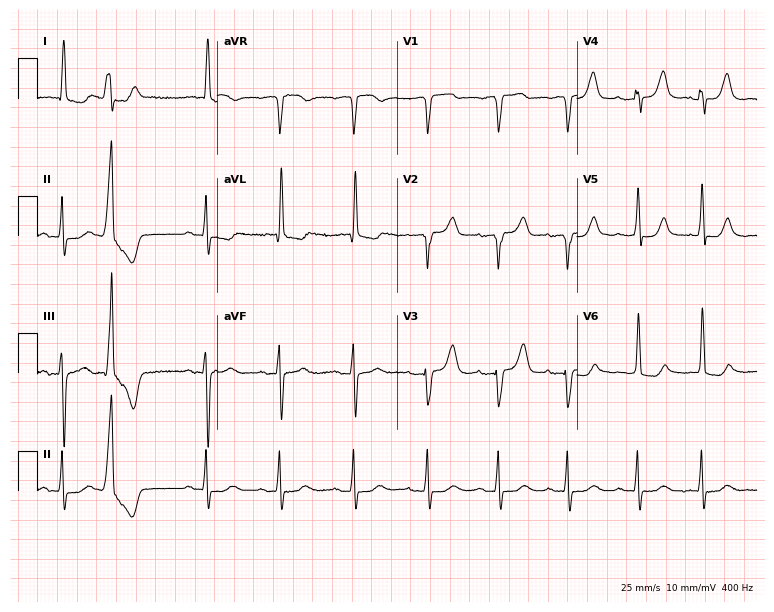
Electrocardiogram (7.3-second recording at 400 Hz), a female patient, 85 years old. Of the six screened findings (first-degree AV block, right bundle branch block, left bundle branch block, sinus bradycardia, atrial fibrillation, sinus tachycardia), none is recorded. Findings outside these six are not listed.